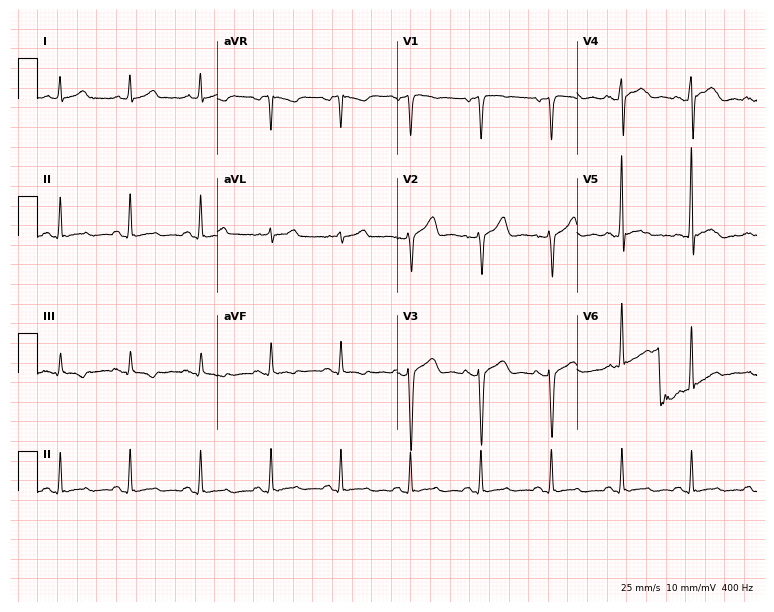
ECG — a 42-year-old man. Screened for six findings — first-degree AV block, right bundle branch block (RBBB), left bundle branch block (LBBB), sinus bradycardia, atrial fibrillation (AF), sinus tachycardia — none is recorded. Only these six findings were labelled.